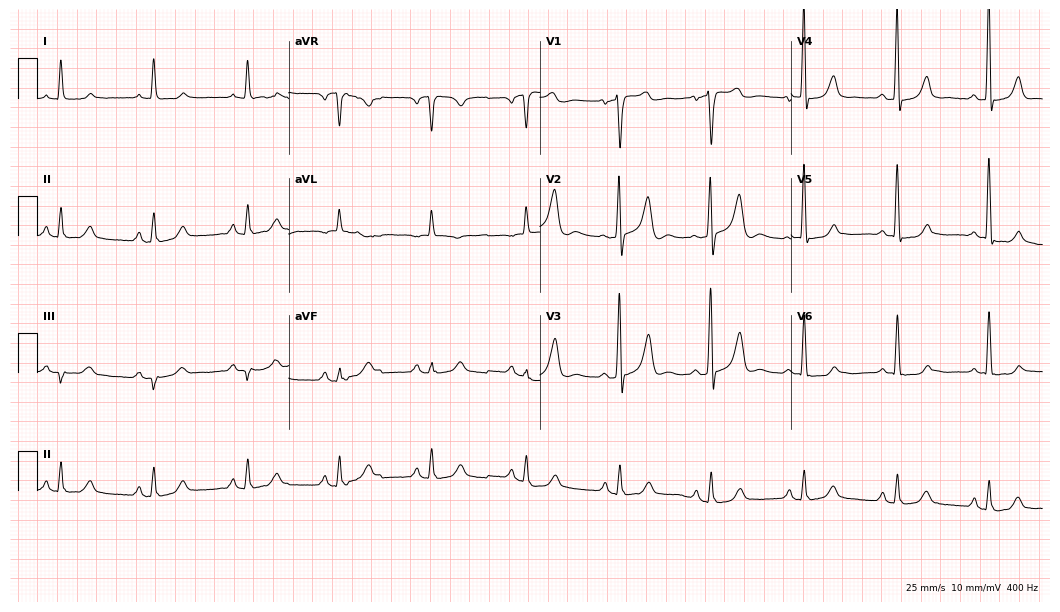
12-lead ECG from a man, 65 years old. Screened for six findings — first-degree AV block, right bundle branch block (RBBB), left bundle branch block (LBBB), sinus bradycardia, atrial fibrillation (AF), sinus tachycardia — none is recorded.